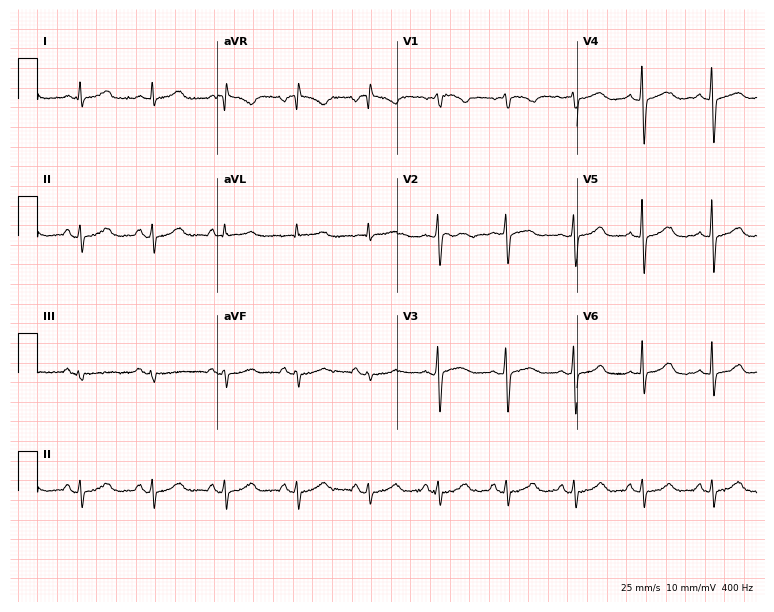
Standard 12-lead ECG recorded from a female patient, 51 years old. None of these six findings is recorded: first-degree AV block, right bundle branch block (RBBB), left bundle branch block (LBBB), sinus bradycardia, atrial fibrillation (AF), sinus tachycardia.